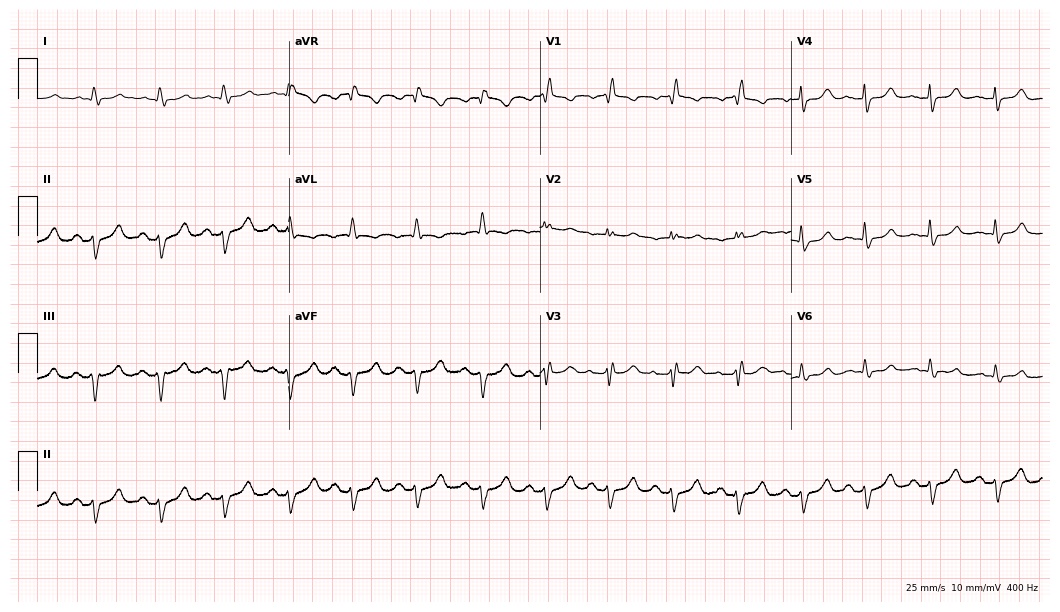
Electrocardiogram, a male, 88 years old. Of the six screened findings (first-degree AV block, right bundle branch block, left bundle branch block, sinus bradycardia, atrial fibrillation, sinus tachycardia), none is recorded.